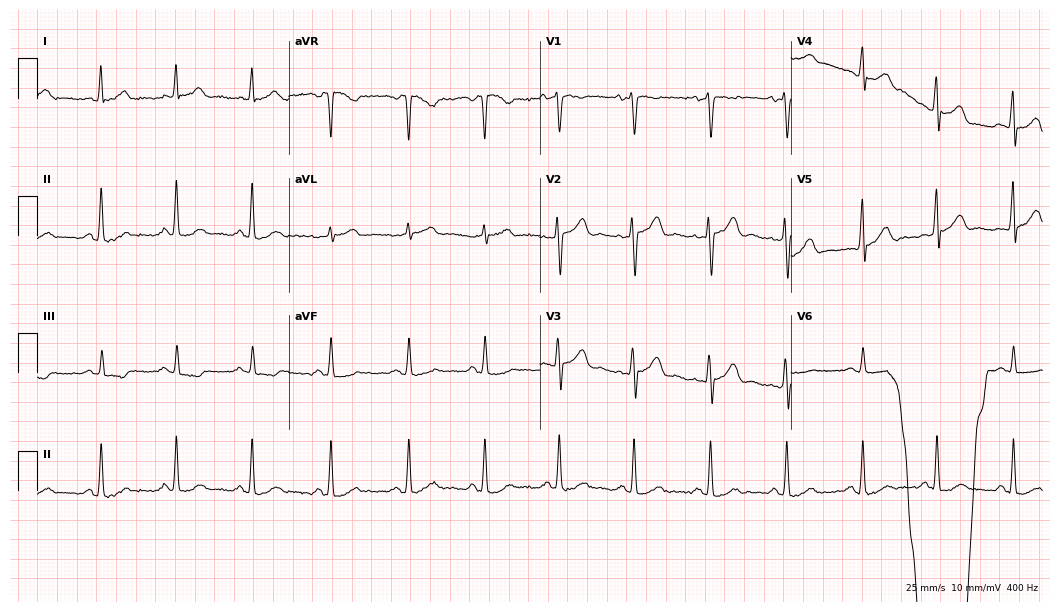
12-lead ECG (10.2-second recording at 400 Hz) from a female, 41 years old. Screened for six findings — first-degree AV block, right bundle branch block, left bundle branch block, sinus bradycardia, atrial fibrillation, sinus tachycardia — none is recorded.